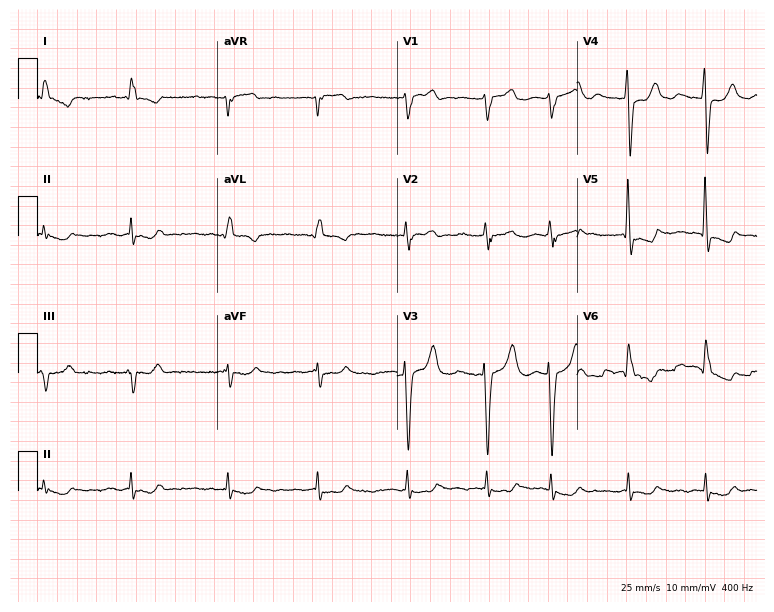
12-lead ECG from a 76-year-old man. Shows atrial fibrillation (AF).